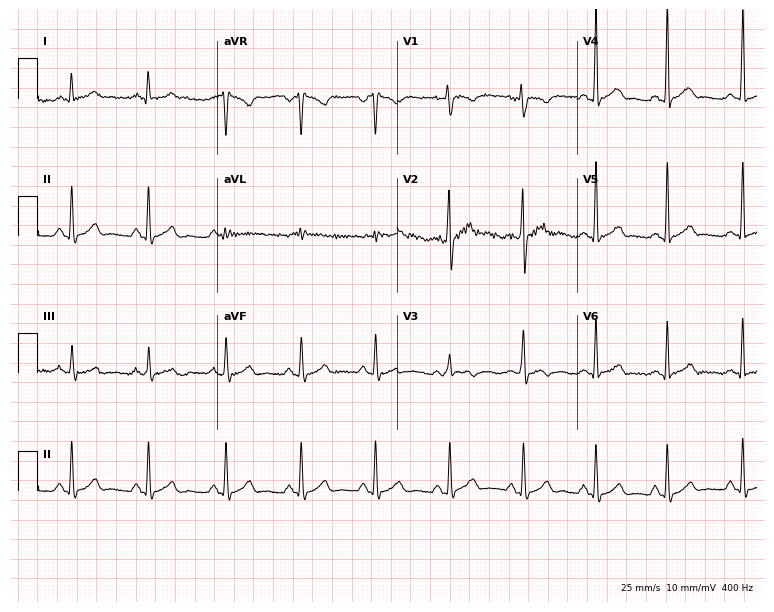
12-lead ECG (7.3-second recording at 400 Hz) from a 28-year-old man. Labelled as a normal ECG.